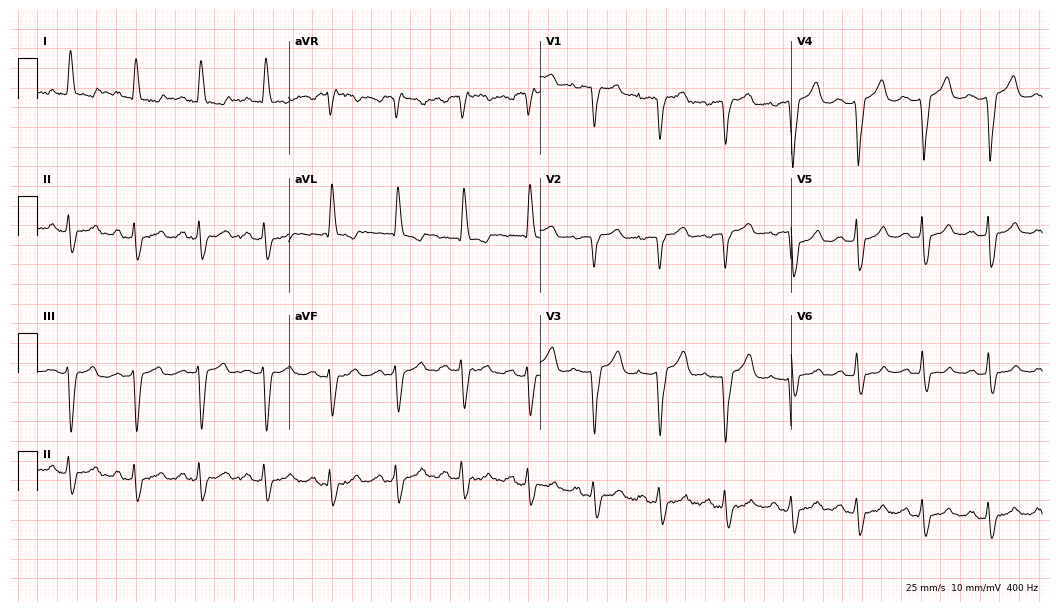
ECG (10.2-second recording at 400 Hz) — a female, 68 years old. Findings include left bundle branch block.